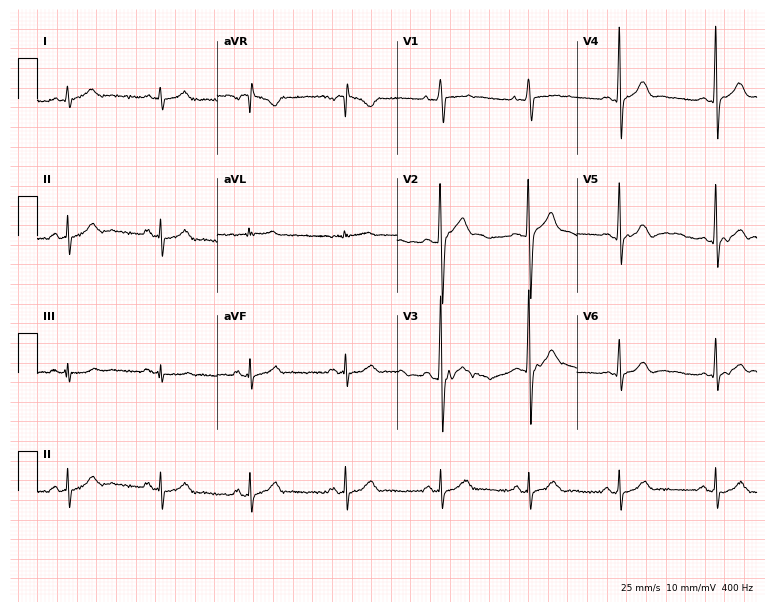
Electrocardiogram, a man, 21 years old. Of the six screened findings (first-degree AV block, right bundle branch block, left bundle branch block, sinus bradycardia, atrial fibrillation, sinus tachycardia), none is recorded.